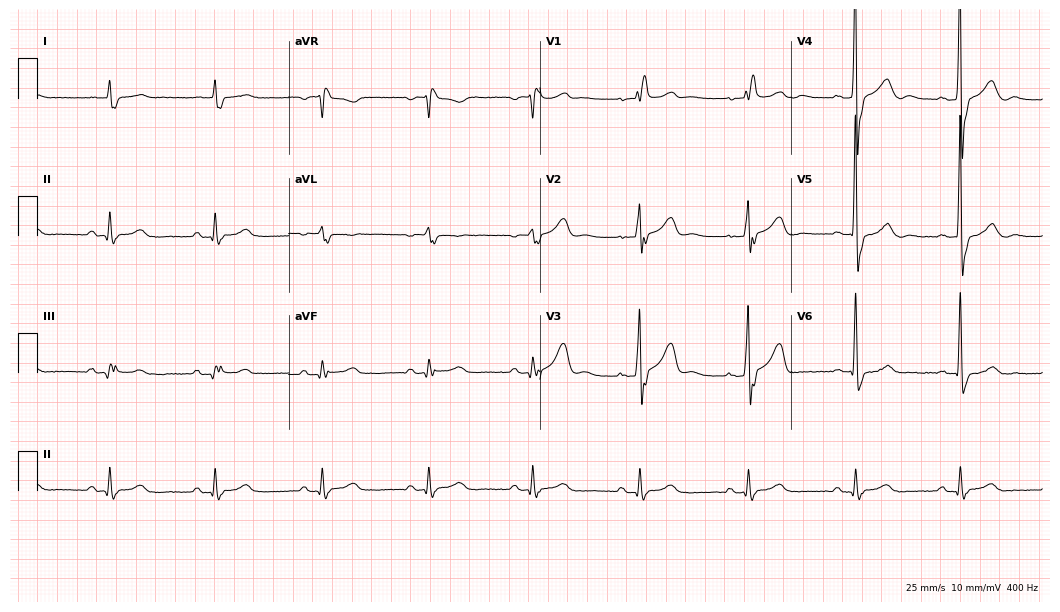
12-lead ECG from an 86-year-old male patient. Findings include right bundle branch block.